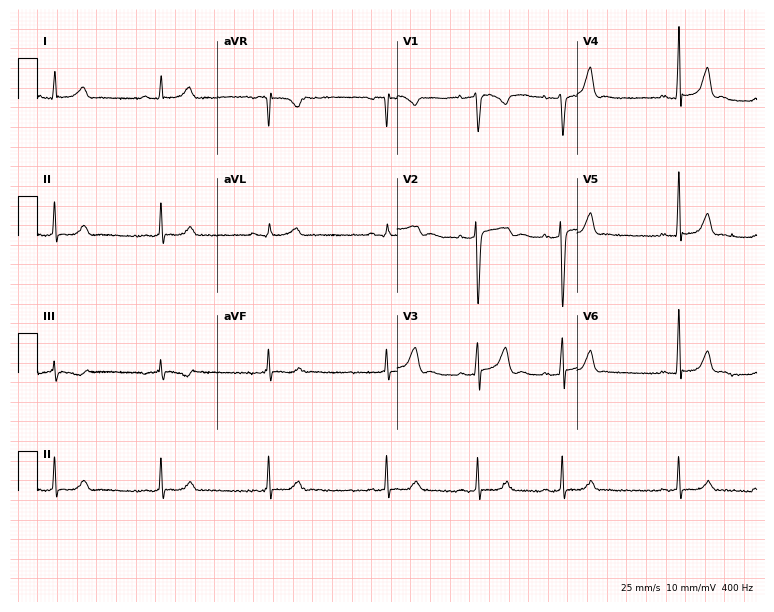
12-lead ECG from a woman, 22 years old. Labelled as a normal ECG.